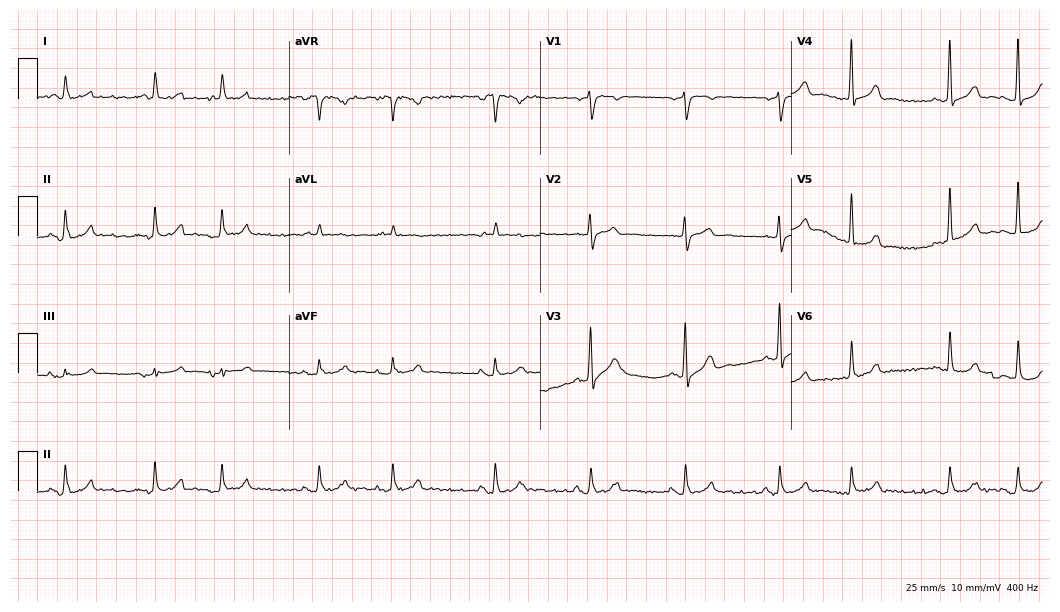
12-lead ECG (10.2-second recording at 400 Hz) from a man, 69 years old. Screened for six findings — first-degree AV block, right bundle branch block, left bundle branch block, sinus bradycardia, atrial fibrillation, sinus tachycardia — none is recorded.